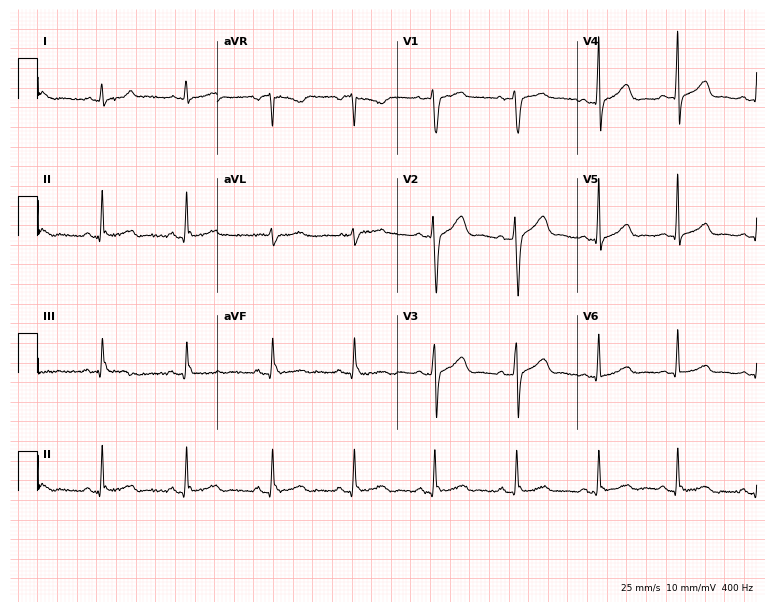
Standard 12-lead ECG recorded from a 40-year-old female. Read as a normal ECG.